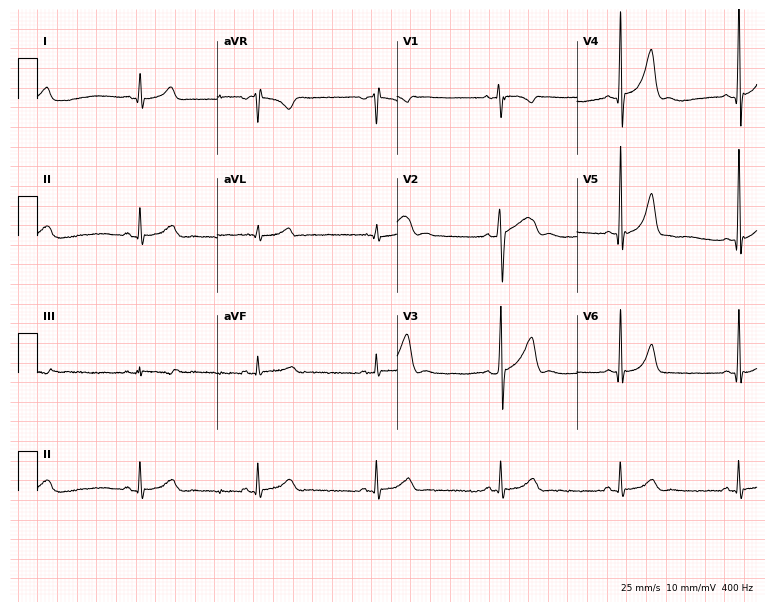
Standard 12-lead ECG recorded from an 18-year-old male (7.3-second recording at 400 Hz). The tracing shows sinus bradycardia (a sinus rate of 50 beats per minute or less).